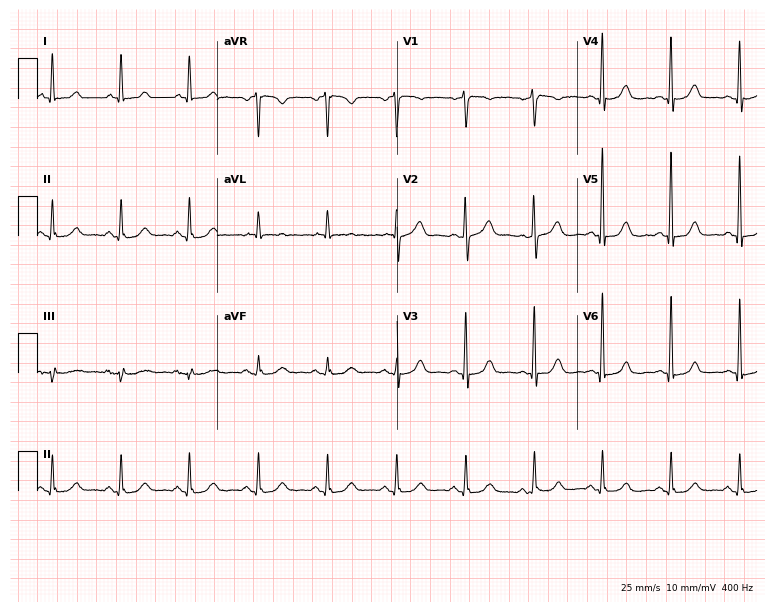
12-lead ECG from a 64-year-old female. Labelled as a normal ECG.